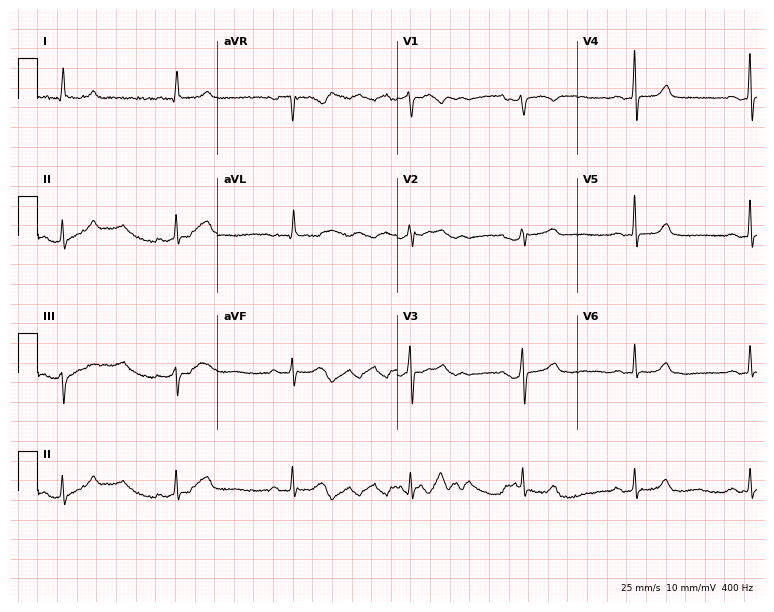
12-lead ECG from a female patient, 66 years old. Labelled as a normal ECG.